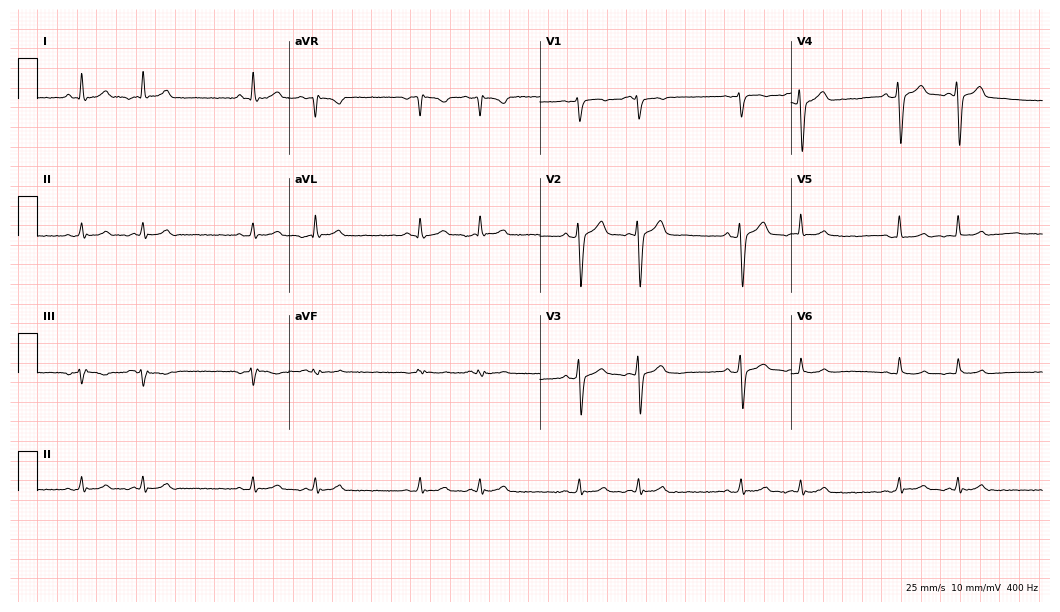
Resting 12-lead electrocardiogram (10.2-second recording at 400 Hz). Patient: a man, 40 years old. None of these six findings is recorded: first-degree AV block, right bundle branch block, left bundle branch block, sinus bradycardia, atrial fibrillation, sinus tachycardia.